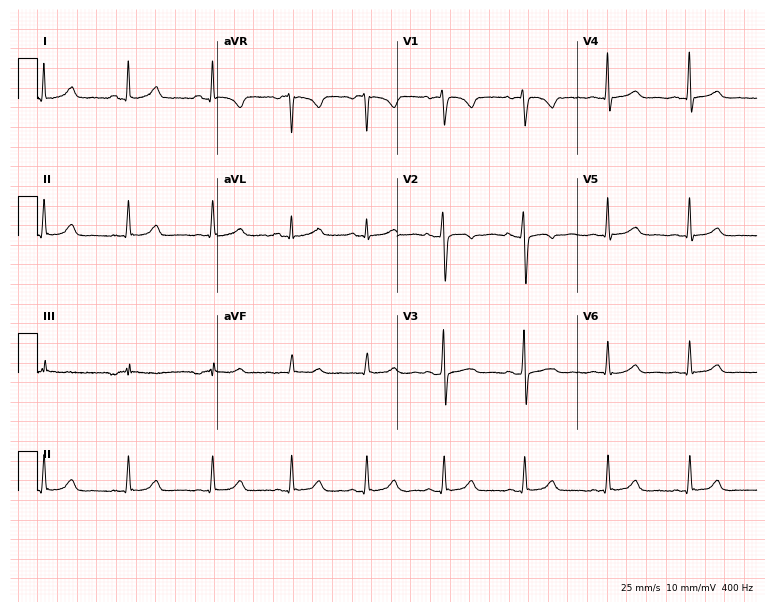
Electrocardiogram (7.3-second recording at 400 Hz), a woman, 38 years old. Of the six screened findings (first-degree AV block, right bundle branch block, left bundle branch block, sinus bradycardia, atrial fibrillation, sinus tachycardia), none is recorded.